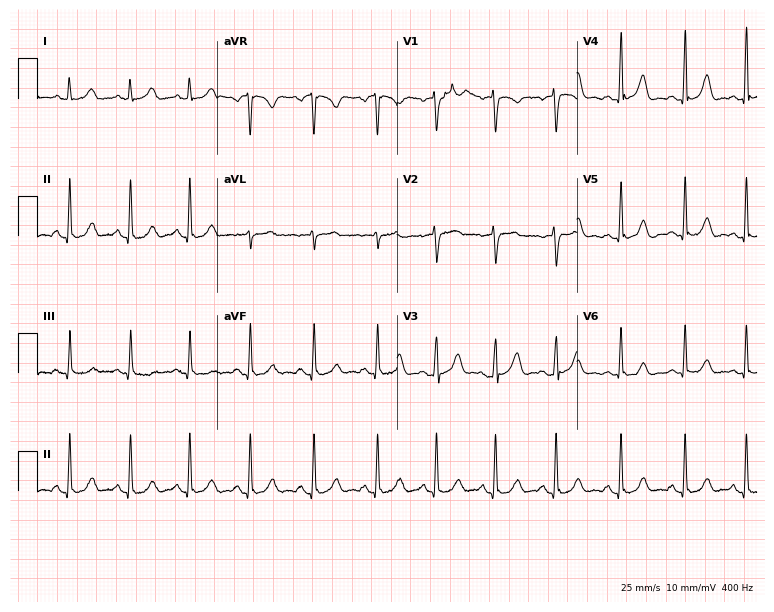
12-lead ECG (7.3-second recording at 400 Hz) from a 32-year-old female. Labelled as a normal ECG.